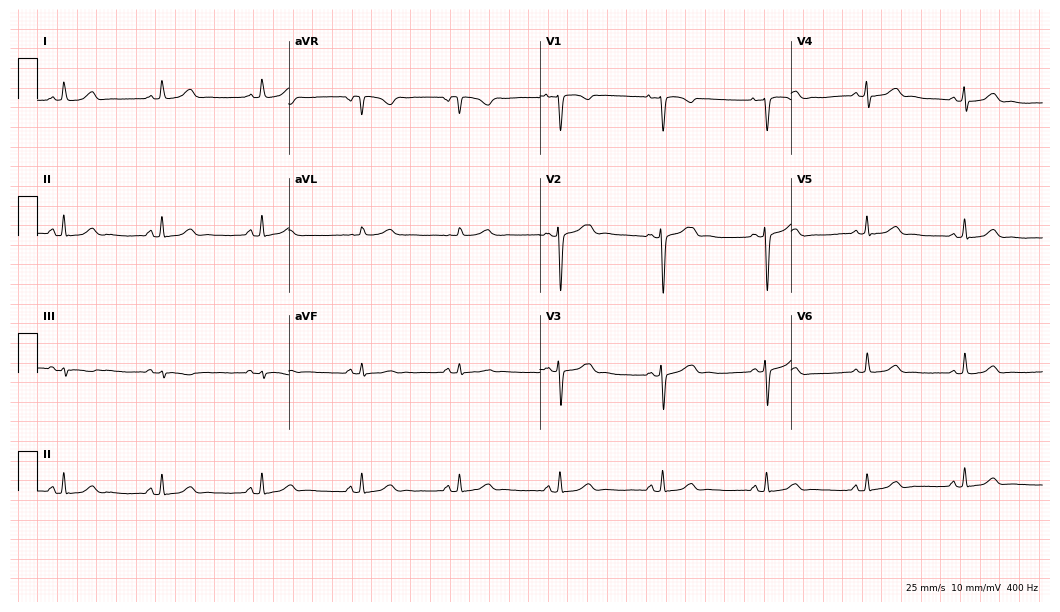
Electrocardiogram, a female patient, 30 years old. Overall reading on record: normal ECG.